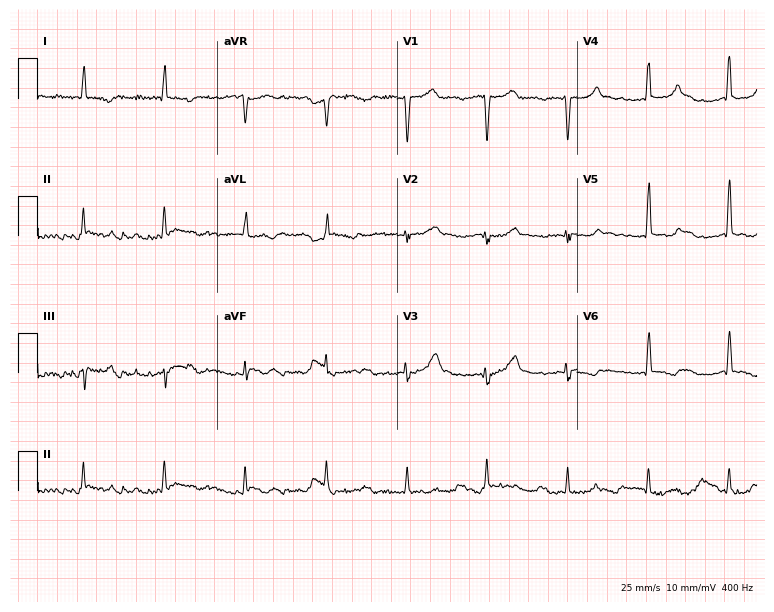
Resting 12-lead electrocardiogram. Patient: a male, 71 years old. None of these six findings is recorded: first-degree AV block, right bundle branch block, left bundle branch block, sinus bradycardia, atrial fibrillation, sinus tachycardia.